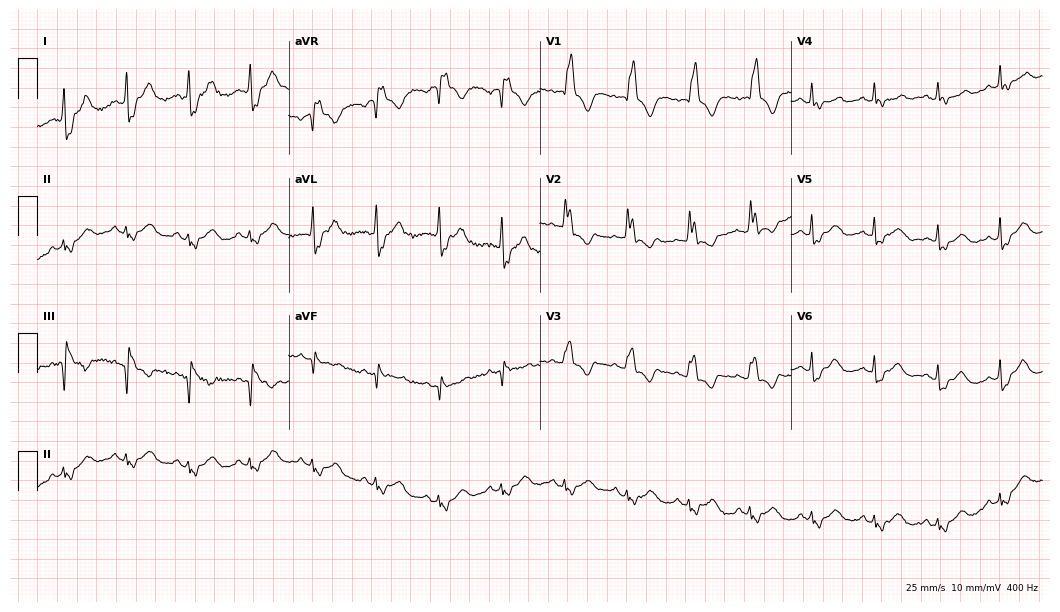
Standard 12-lead ECG recorded from a 78-year-old female (10.2-second recording at 400 Hz). None of these six findings is recorded: first-degree AV block, right bundle branch block (RBBB), left bundle branch block (LBBB), sinus bradycardia, atrial fibrillation (AF), sinus tachycardia.